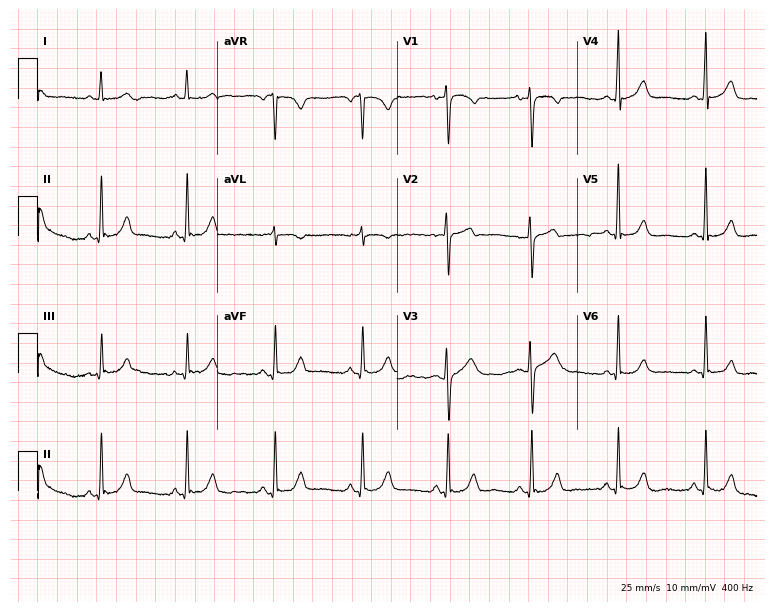
Resting 12-lead electrocardiogram. Patient: a female, 41 years old. Read as a normal ECG.